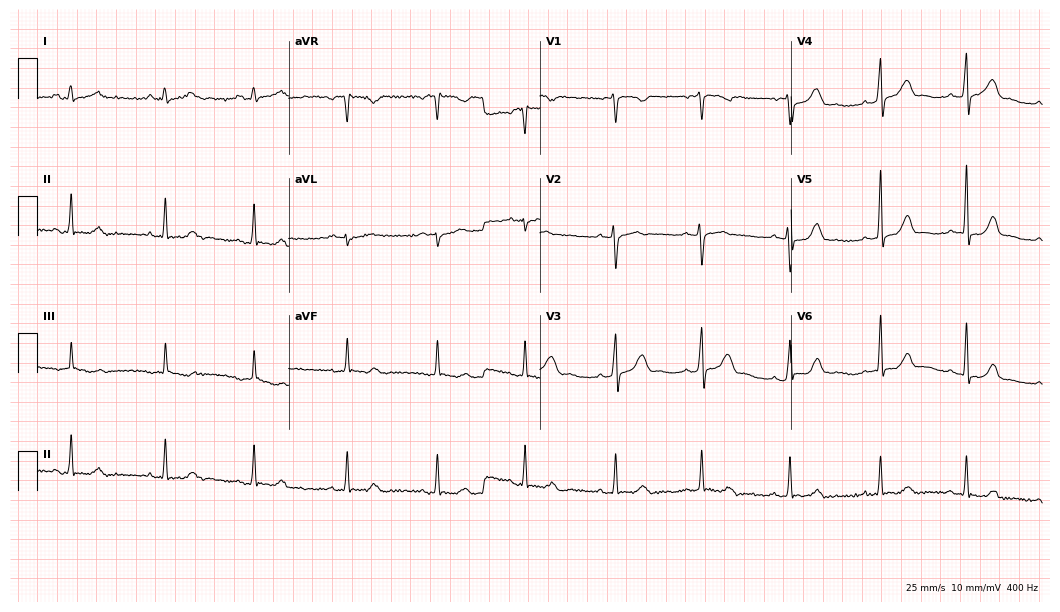
12-lead ECG from a woman, 26 years old. Screened for six findings — first-degree AV block, right bundle branch block, left bundle branch block, sinus bradycardia, atrial fibrillation, sinus tachycardia — none is recorded. Other findings, if any, are not listed.